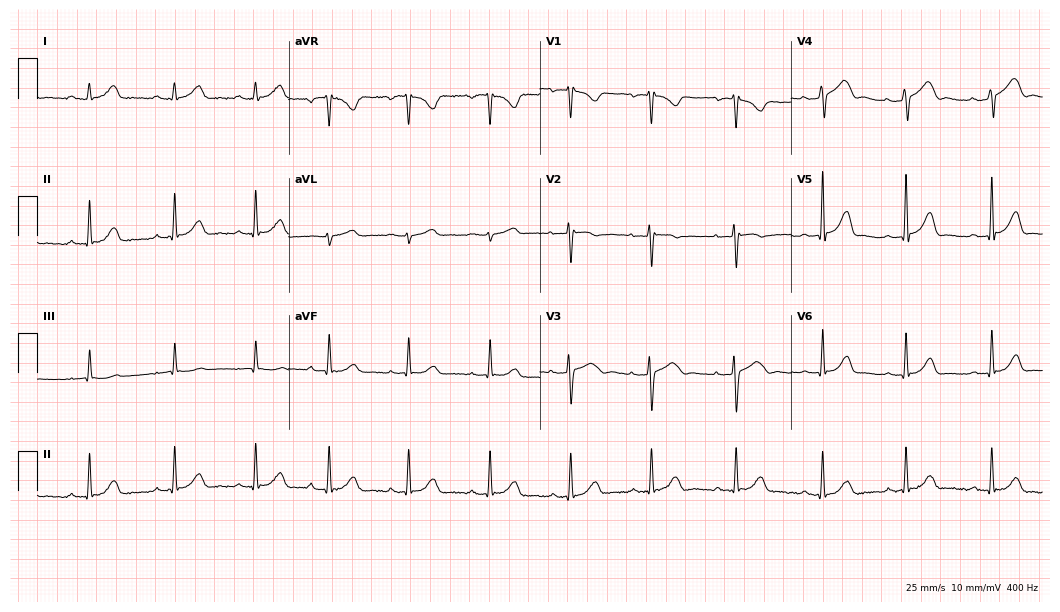
12-lead ECG from a 29-year-old female. Recorded interpretation: within normal limits.